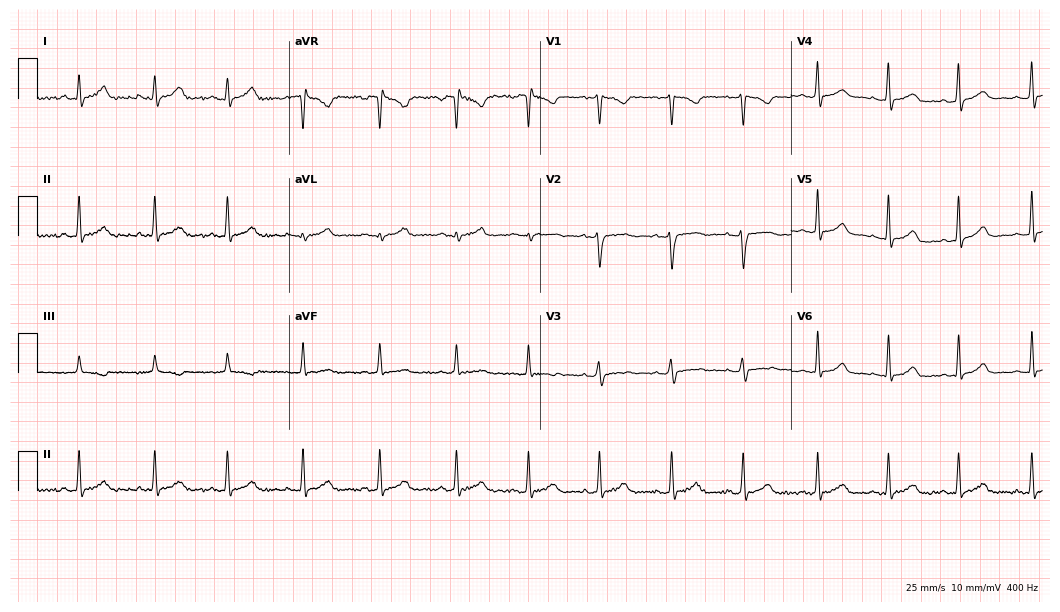
Electrocardiogram (10.2-second recording at 400 Hz), a female patient, 22 years old. Of the six screened findings (first-degree AV block, right bundle branch block (RBBB), left bundle branch block (LBBB), sinus bradycardia, atrial fibrillation (AF), sinus tachycardia), none is recorded.